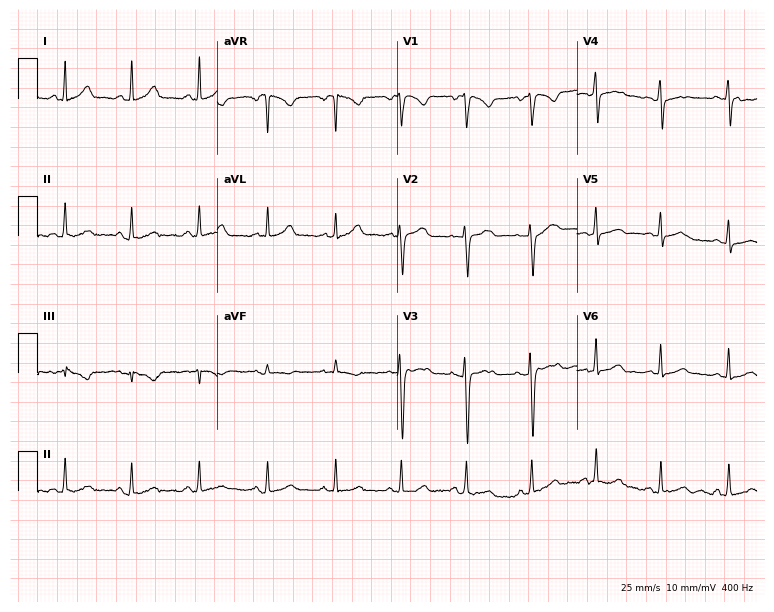
ECG (7.3-second recording at 400 Hz) — a 26-year-old female. Labelled as a normal ECG.